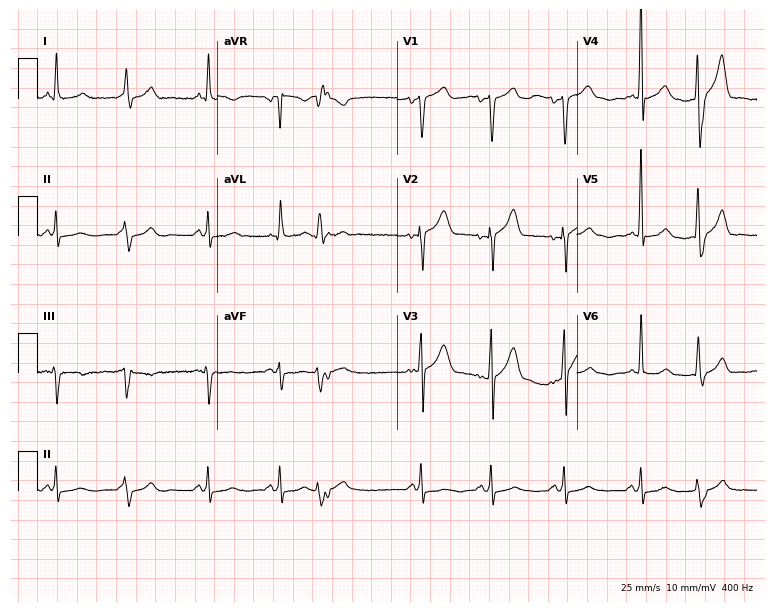
Resting 12-lead electrocardiogram. Patient: a 75-year-old male. None of these six findings is recorded: first-degree AV block, right bundle branch block (RBBB), left bundle branch block (LBBB), sinus bradycardia, atrial fibrillation (AF), sinus tachycardia.